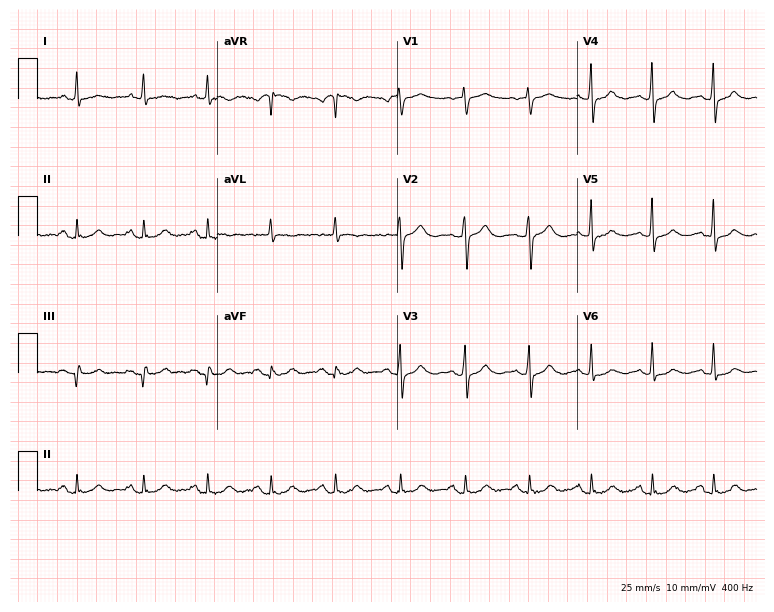
Standard 12-lead ECG recorded from a female, 67 years old (7.3-second recording at 400 Hz). None of these six findings is recorded: first-degree AV block, right bundle branch block (RBBB), left bundle branch block (LBBB), sinus bradycardia, atrial fibrillation (AF), sinus tachycardia. Findings outside these six are not listed.